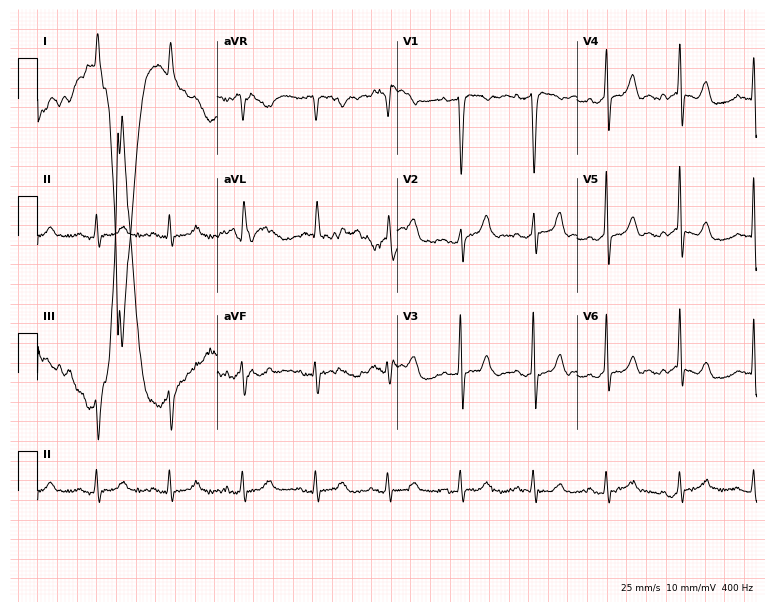
Electrocardiogram, a female, 82 years old. Of the six screened findings (first-degree AV block, right bundle branch block, left bundle branch block, sinus bradycardia, atrial fibrillation, sinus tachycardia), none is recorded.